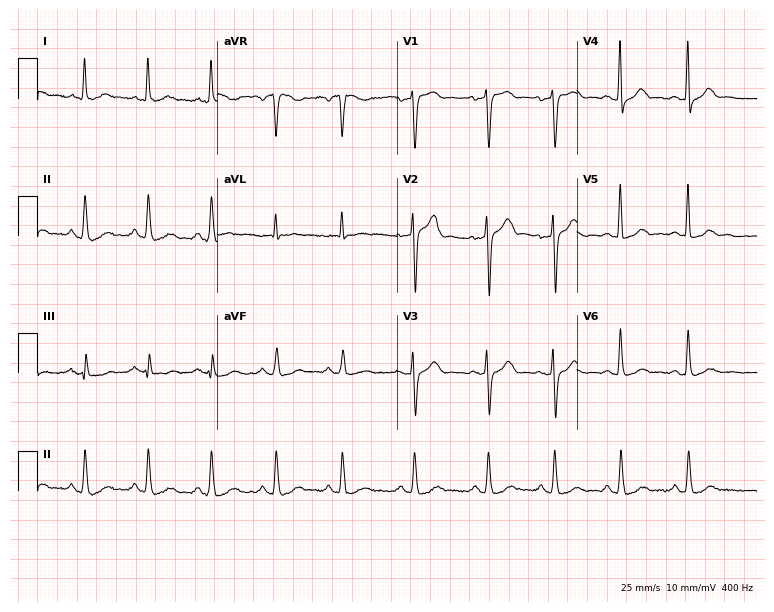
12-lead ECG from a female patient, 56 years old. No first-degree AV block, right bundle branch block, left bundle branch block, sinus bradycardia, atrial fibrillation or sinus tachycardia recorded for this tracing. Only these six findings were labelled.